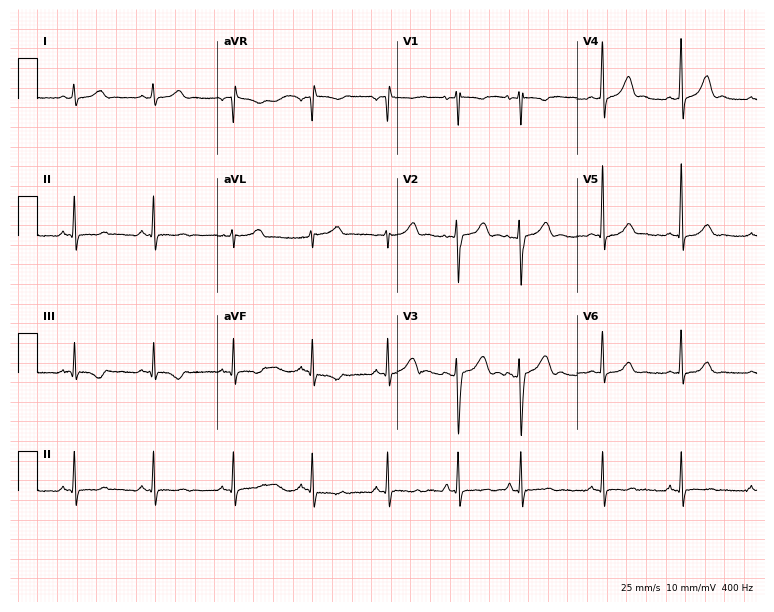
12-lead ECG from a female patient, 29 years old. Labelled as a normal ECG.